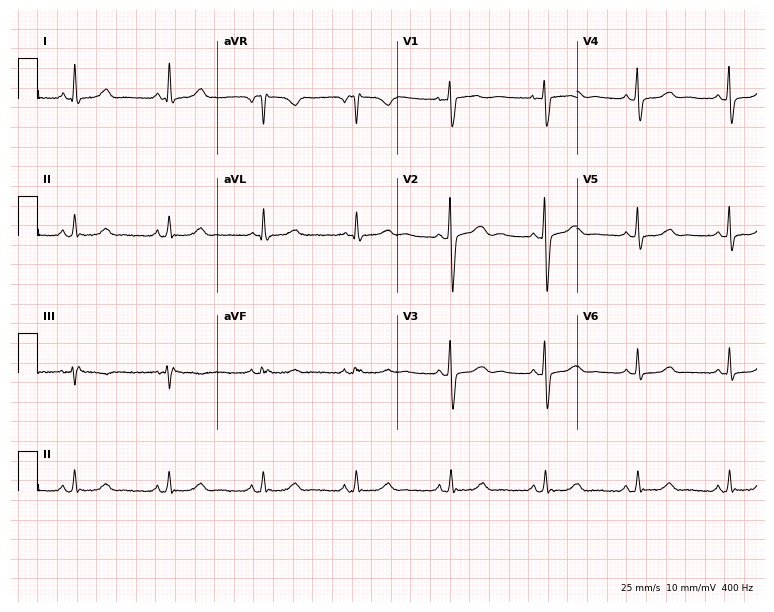
Resting 12-lead electrocardiogram (7.3-second recording at 400 Hz). Patient: a 64-year-old woman. Read as a normal ECG.